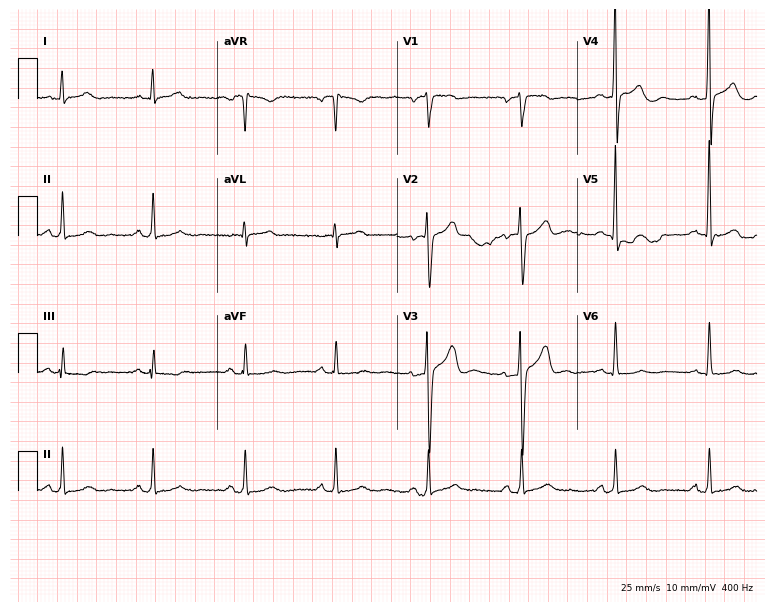
Electrocardiogram, a male patient, 59 years old. Of the six screened findings (first-degree AV block, right bundle branch block, left bundle branch block, sinus bradycardia, atrial fibrillation, sinus tachycardia), none is recorded. Only these six findings were labelled.